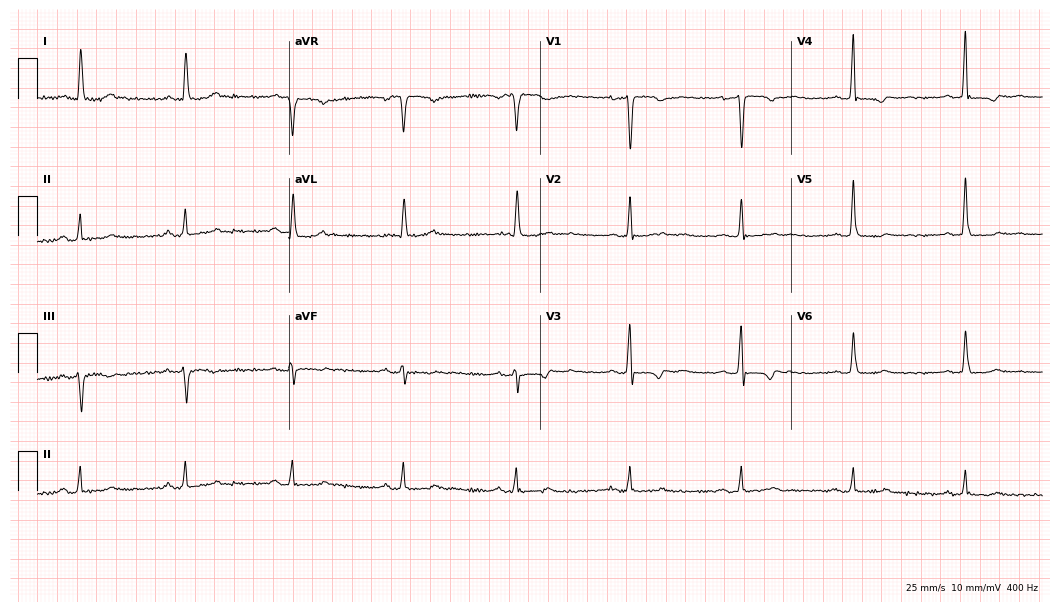
12-lead ECG from a woman, 61 years old. Screened for six findings — first-degree AV block, right bundle branch block (RBBB), left bundle branch block (LBBB), sinus bradycardia, atrial fibrillation (AF), sinus tachycardia — none is recorded. Only these six findings were labelled.